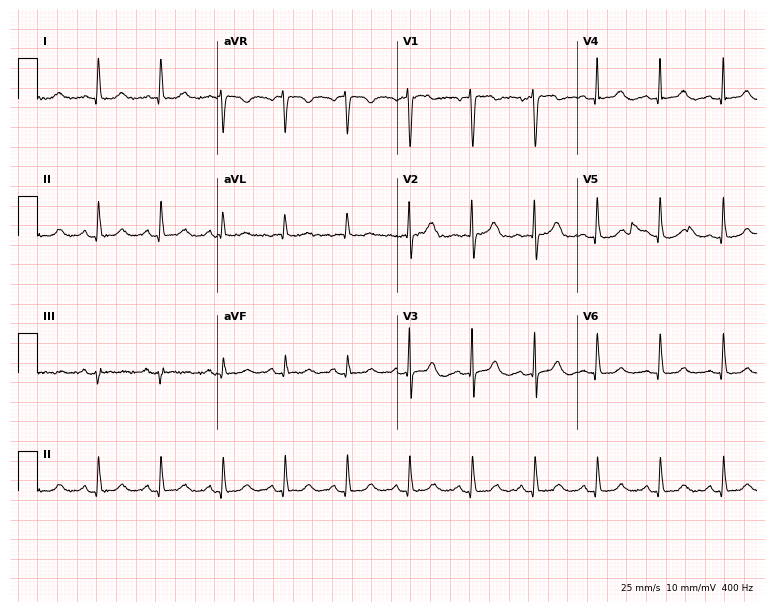
12-lead ECG (7.3-second recording at 400 Hz) from a female, 67 years old. Labelled as a normal ECG.